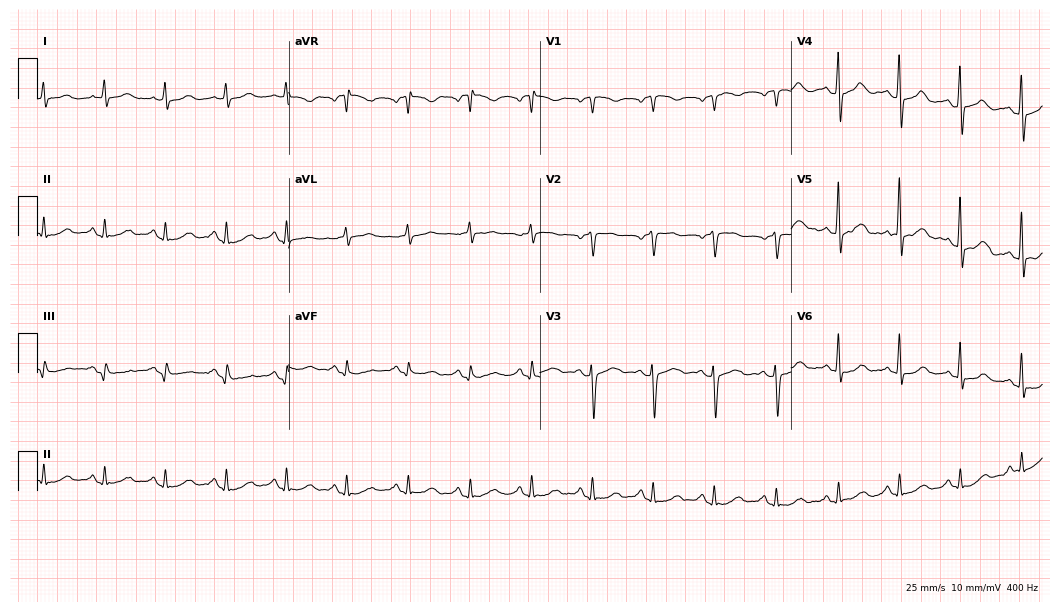
Resting 12-lead electrocardiogram. Patient: a 62-year-old female. Read as a normal ECG.